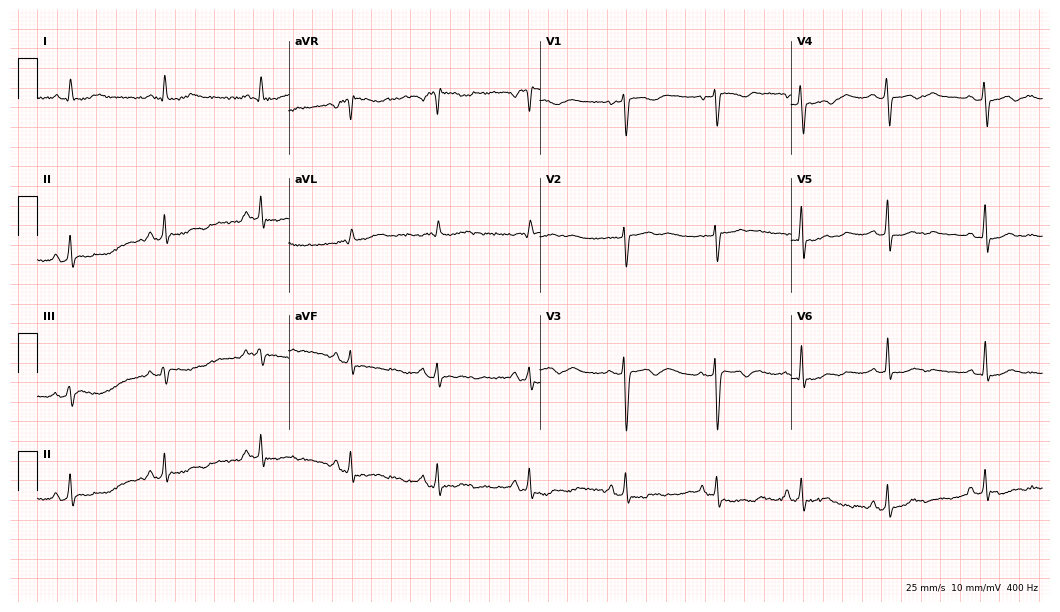
Electrocardiogram (10.2-second recording at 400 Hz), a woman, 49 years old. Of the six screened findings (first-degree AV block, right bundle branch block, left bundle branch block, sinus bradycardia, atrial fibrillation, sinus tachycardia), none is recorded. Findings outside these six are not listed.